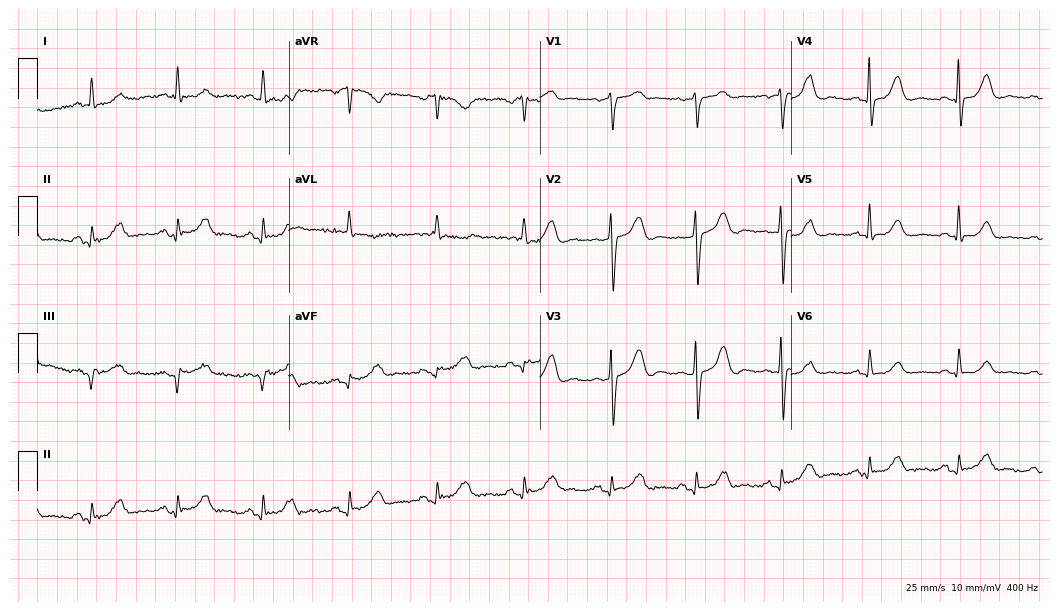
Standard 12-lead ECG recorded from a female patient, 74 years old (10.2-second recording at 400 Hz). None of these six findings is recorded: first-degree AV block, right bundle branch block (RBBB), left bundle branch block (LBBB), sinus bradycardia, atrial fibrillation (AF), sinus tachycardia. Other findings, if any, are not listed.